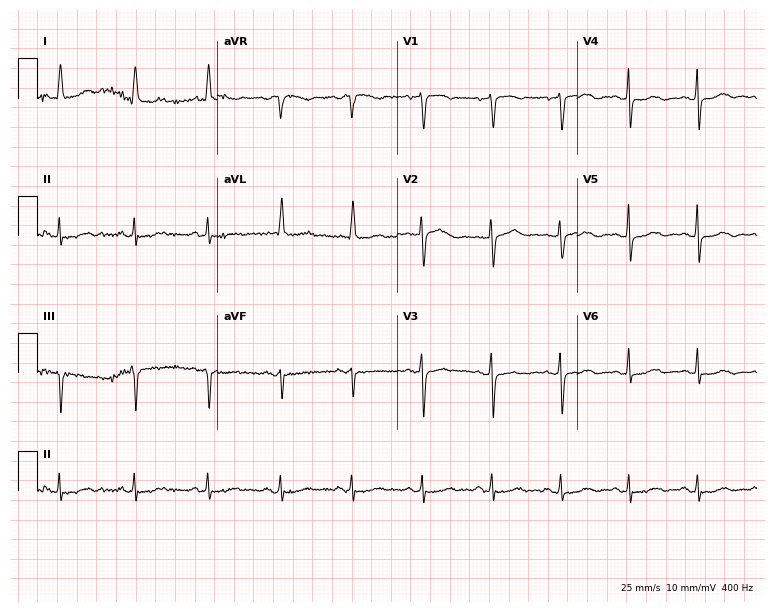
Electrocardiogram (7.3-second recording at 400 Hz), a female, 70 years old. Of the six screened findings (first-degree AV block, right bundle branch block, left bundle branch block, sinus bradycardia, atrial fibrillation, sinus tachycardia), none is recorded. Only these six findings were labelled.